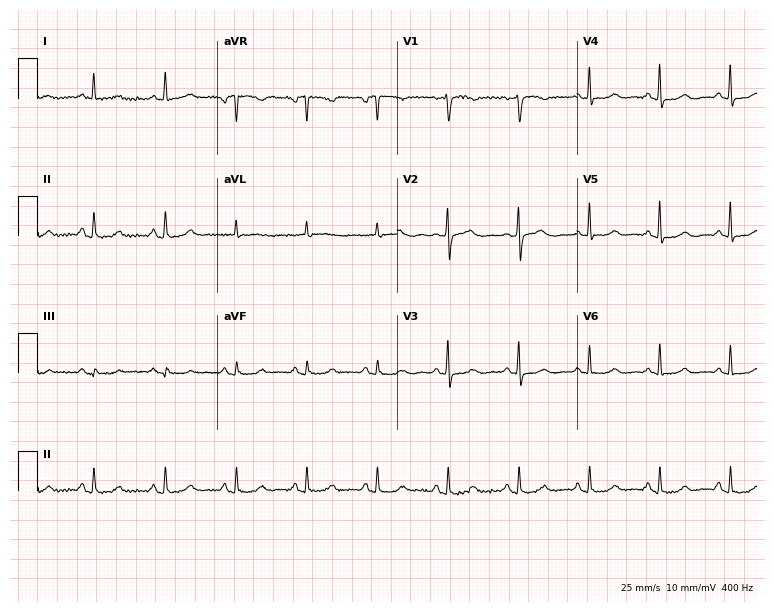
12-lead ECG from a 76-year-old female. Labelled as a normal ECG.